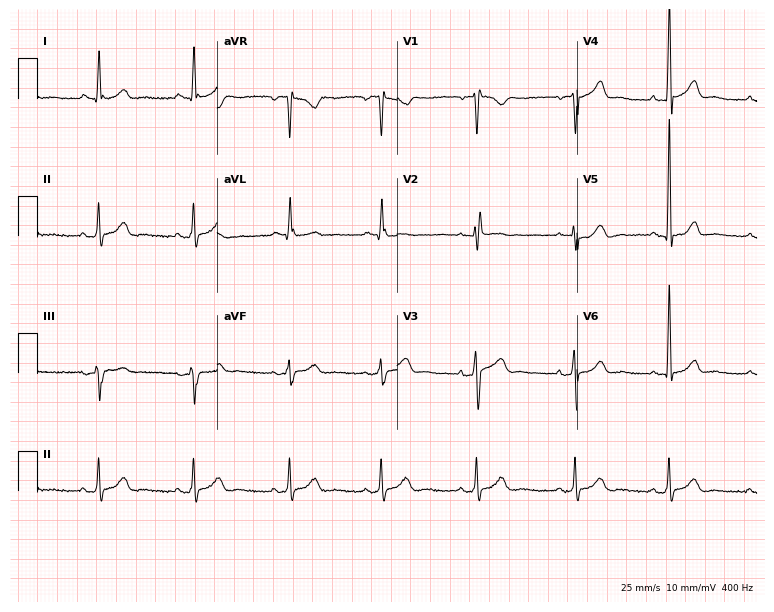
Standard 12-lead ECG recorded from a 53-year-old male. None of these six findings is recorded: first-degree AV block, right bundle branch block (RBBB), left bundle branch block (LBBB), sinus bradycardia, atrial fibrillation (AF), sinus tachycardia. Only these six findings were labelled.